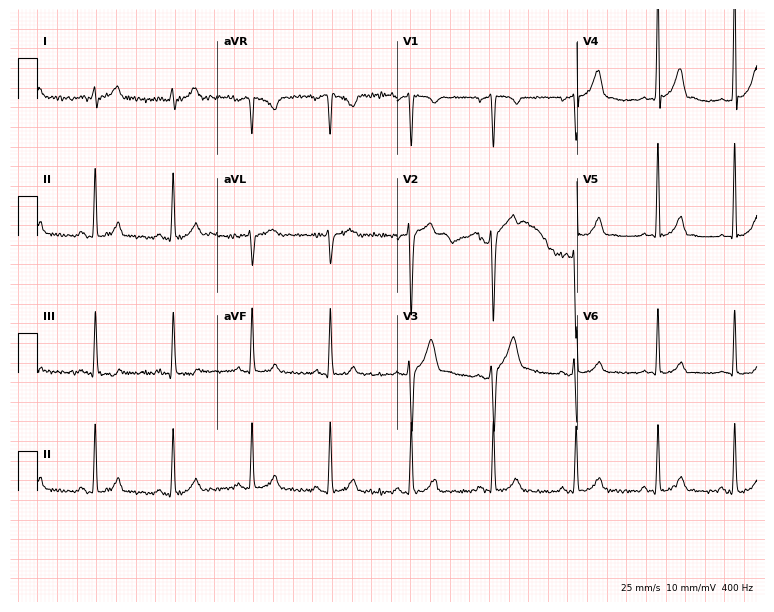
12-lead ECG from a 23-year-old male patient. No first-degree AV block, right bundle branch block (RBBB), left bundle branch block (LBBB), sinus bradycardia, atrial fibrillation (AF) or sinus tachycardia recorded for this tracing.